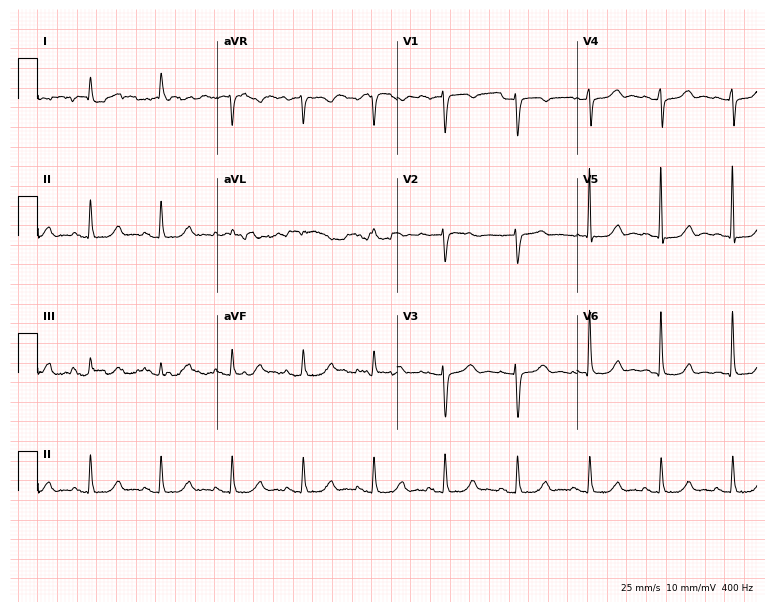
12-lead ECG from an 80-year-old woman. Labelled as a normal ECG.